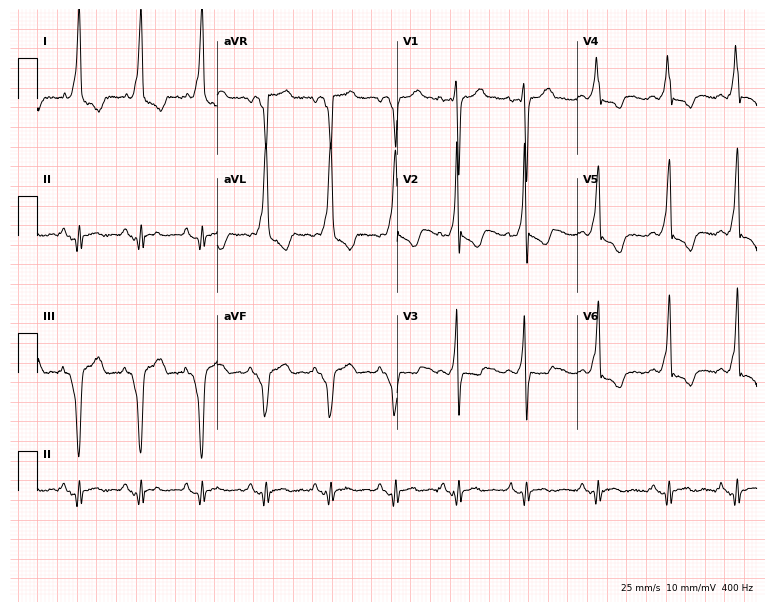
Electrocardiogram (7.3-second recording at 400 Hz), a male patient, 24 years old. Of the six screened findings (first-degree AV block, right bundle branch block (RBBB), left bundle branch block (LBBB), sinus bradycardia, atrial fibrillation (AF), sinus tachycardia), none is recorded. Findings outside these six are not listed.